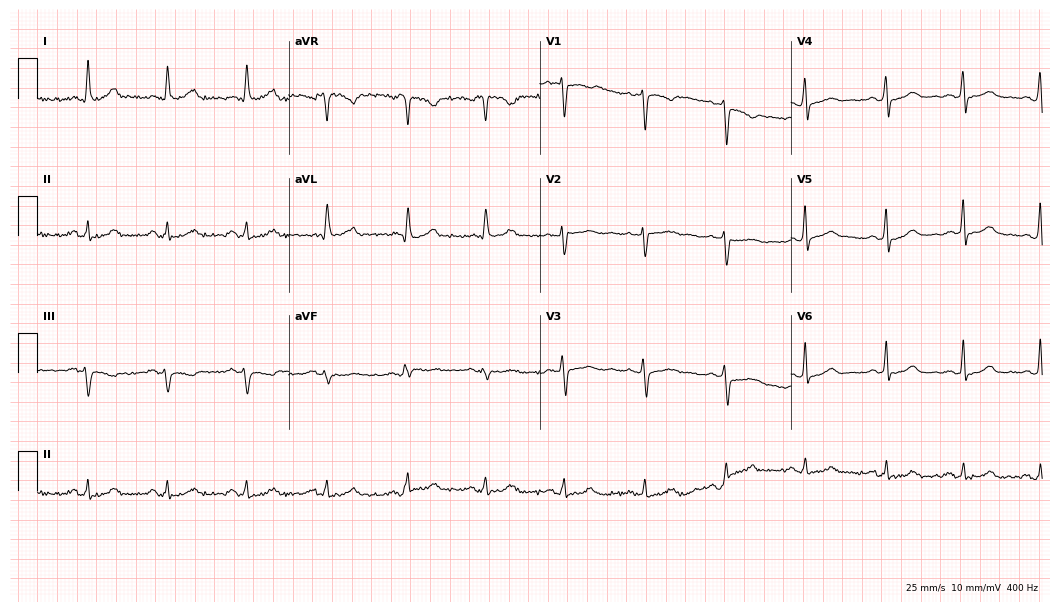
Electrocardiogram, a woman, 46 years old. Of the six screened findings (first-degree AV block, right bundle branch block (RBBB), left bundle branch block (LBBB), sinus bradycardia, atrial fibrillation (AF), sinus tachycardia), none is recorded. Other findings, if any, are not listed.